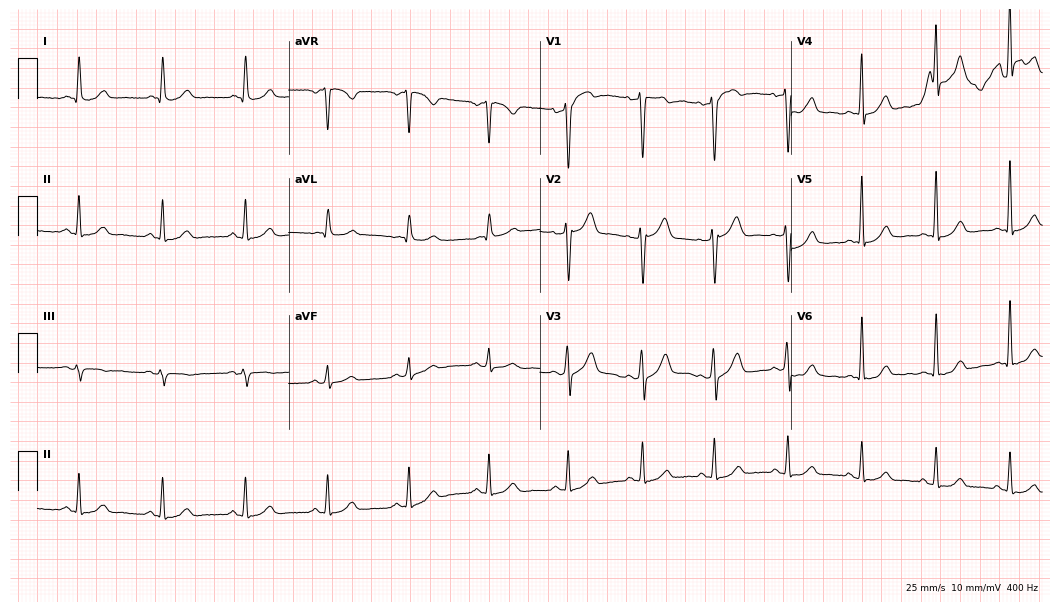
ECG (10.2-second recording at 400 Hz) — a 47-year-old male patient. Labelled as a normal ECG.